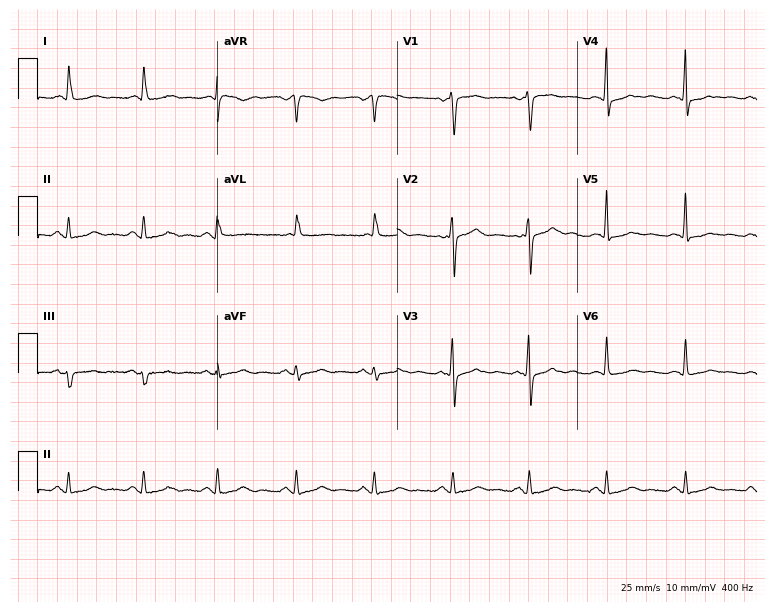
Standard 12-lead ECG recorded from a 74-year-old female (7.3-second recording at 400 Hz). None of these six findings is recorded: first-degree AV block, right bundle branch block, left bundle branch block, sinus bradycardia, atrial fibrillation, sinus tachycardia. Findings outside these six are not listed.